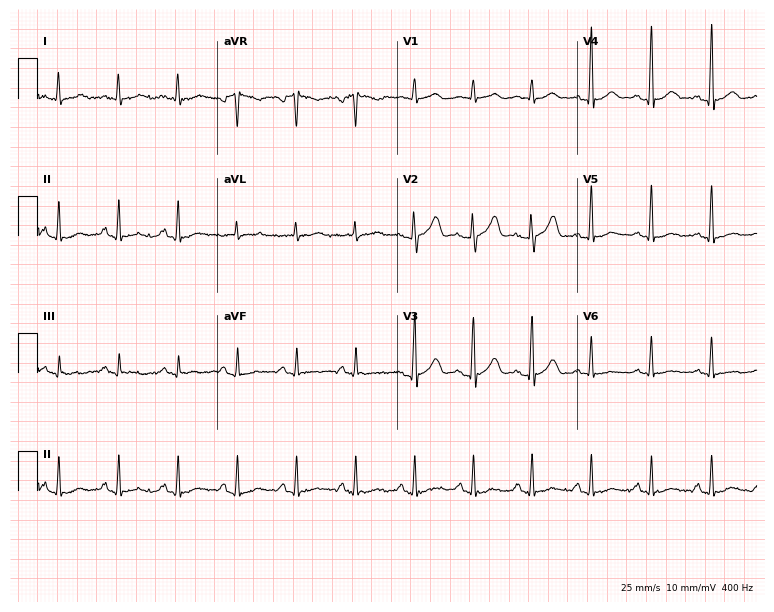
Standard 12-lead ECG recorded from a 48-year-old man (7.3-second recording at 400 Hz). None of these six findings is recorded: first-degree AV block, right bundle branch block, left bundle branch block, sinus bradycardia, atrial fibrillation, sinus tachycardia. Other findings, if any, are not listed.